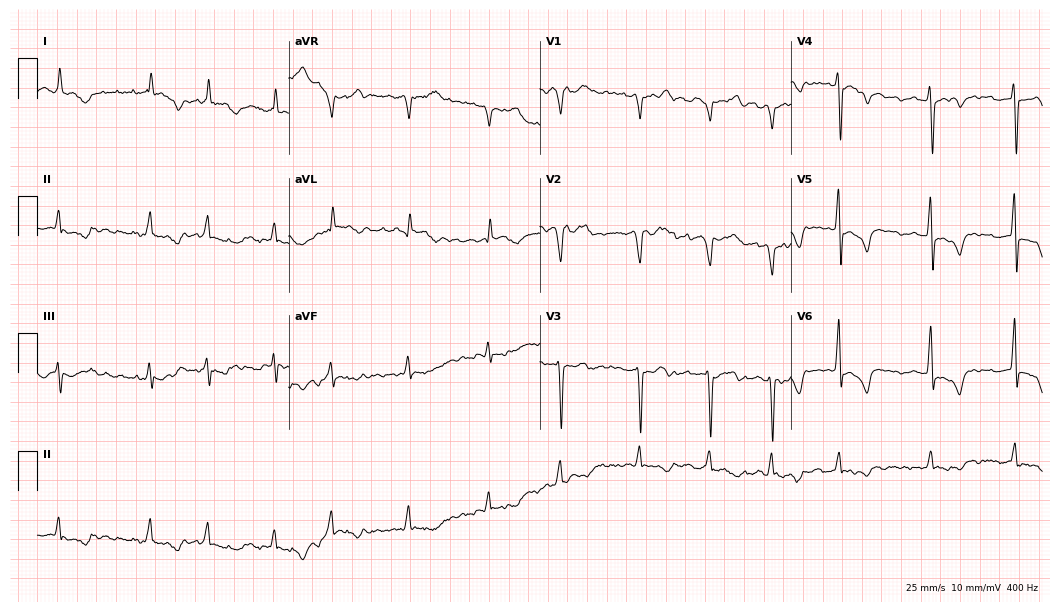
12-lead ECG from a man, 54 years old (10.2-second recording at 400 Hz). Shows atrial fibrillation.